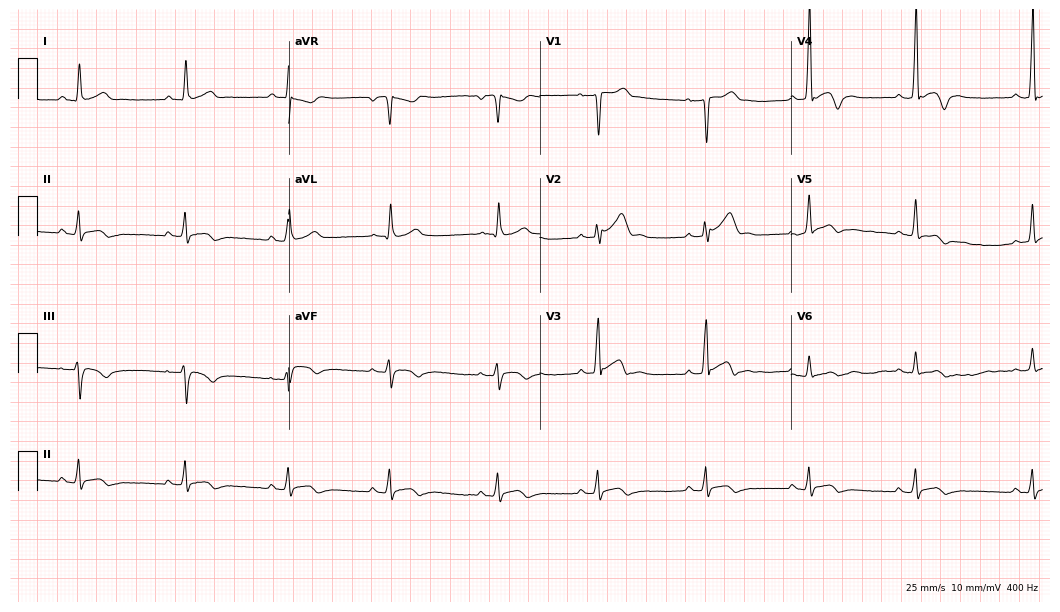
12-lead ECG from a male, 27 years old. No first-degree AV block, right bundle branch block (RBBB), left bundle branch block (LBBB), sinus bradycardia, atrial fibrillation (AF) or sinus tachycardia recorded for this tracing.